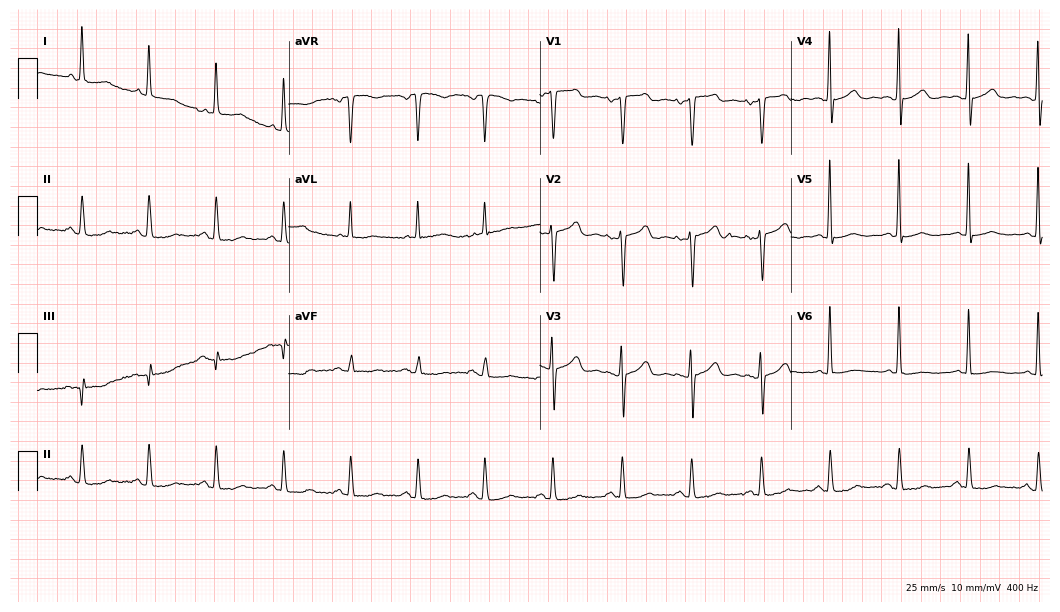
ECG — a woman, 78 years old. Screened for six findings — first-degree AV block, right bundle branch block, left bundle branch block, sinus bradycardia, atrial fibrillation, sinus tachycardia — none is recorded.